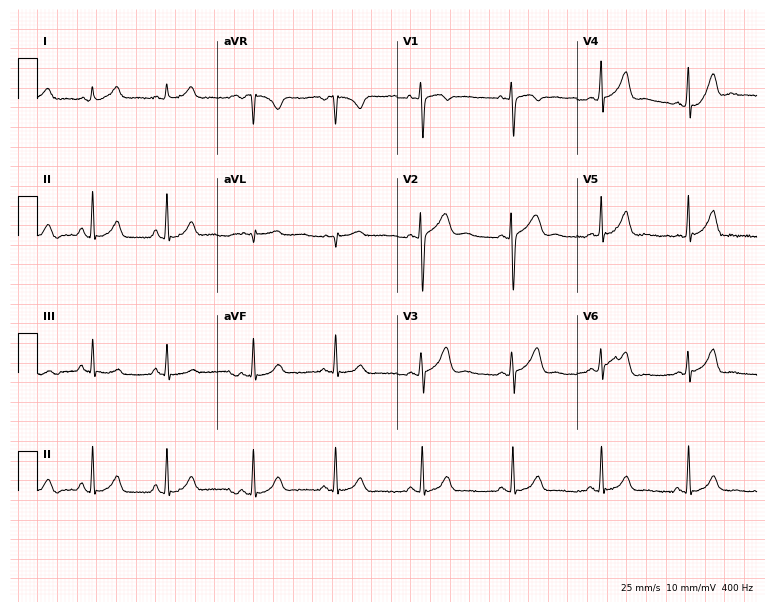
12-lead ECG from a female patient, 23 years old. Screened for six findings — first-degree AV block, right bundle branch block, left bundle branch block, sinus bradycardia, atrial fibrillation, sinus tachycardia — none is recorded.